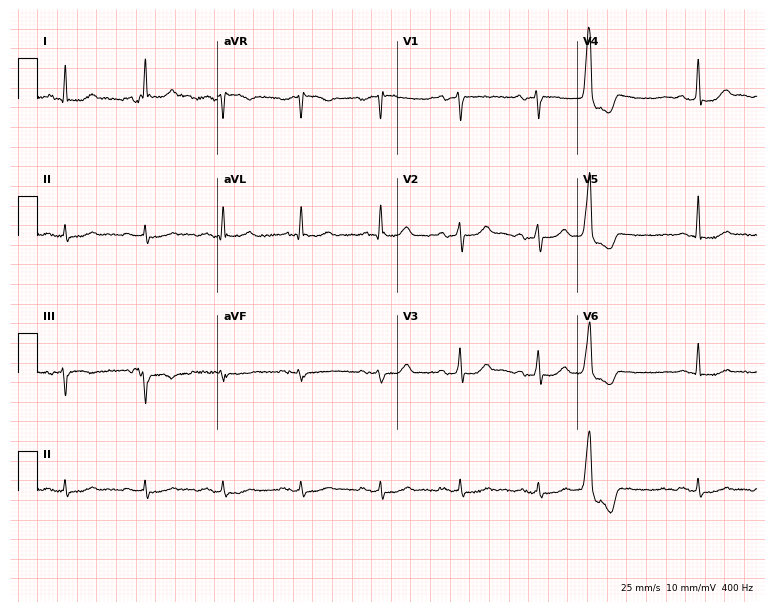
12-lead ECG from a 77-year-old man. No first-degree AV block, right bundle branch block, left bundle branch block, sinus bradycardia, atrial fibrillation or sinus tachycardia recorded for this tracing.